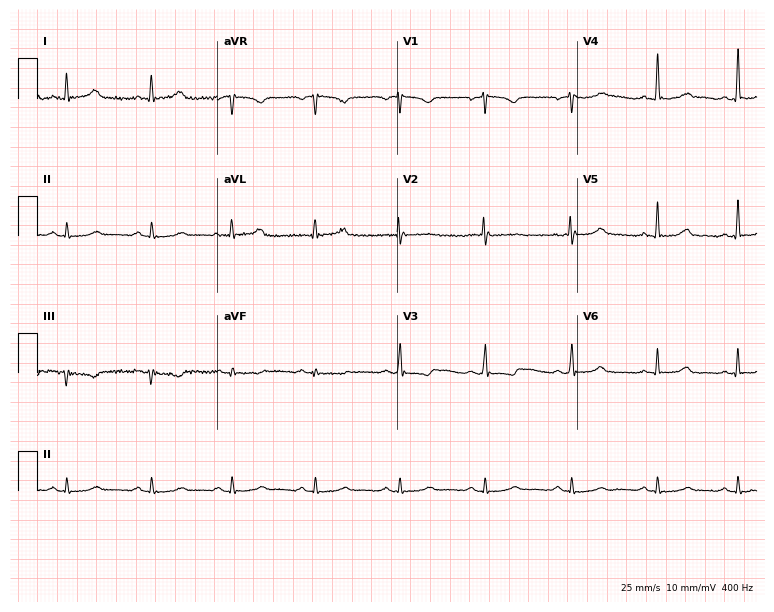
ECG (7.3-second recording at 400 Hz) — a female patient, 36 years old. Screened for six findings — first-degree AV block, right bundle branch block (RBBB), left bundle branch block (LBBB), sinus bradycardia, atrial fibrillation (AF), sinus tachycardia — none is recorded. Only these six findings were labelled.